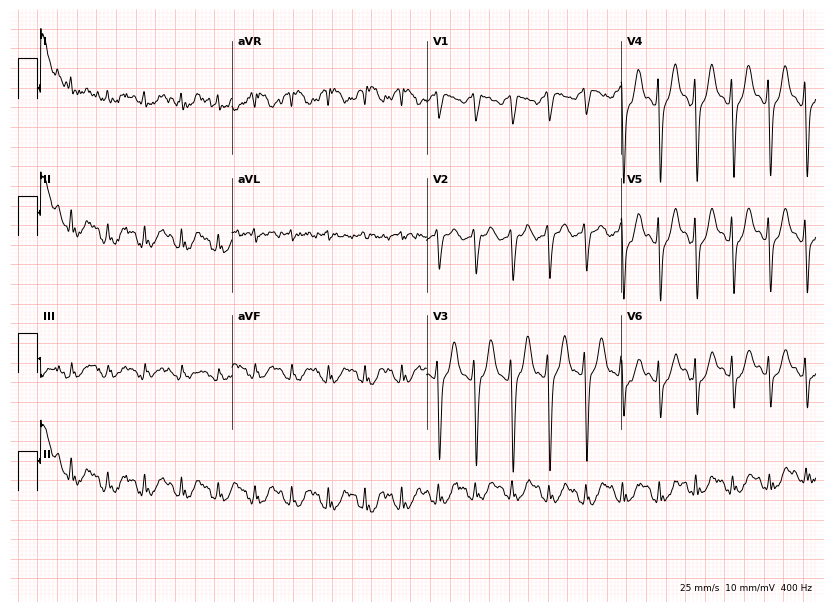
Standard 12-lead ECG recorded from a 41-year-old male patient (7.9-second recording at 400 Hz). None of these six findings is recorded: first-degree AV block, right bundle branch block, left bundle branch block, sinus bradycardia, atrial fibrillation, sinus tachycardia. Findings outside these six are not listed.